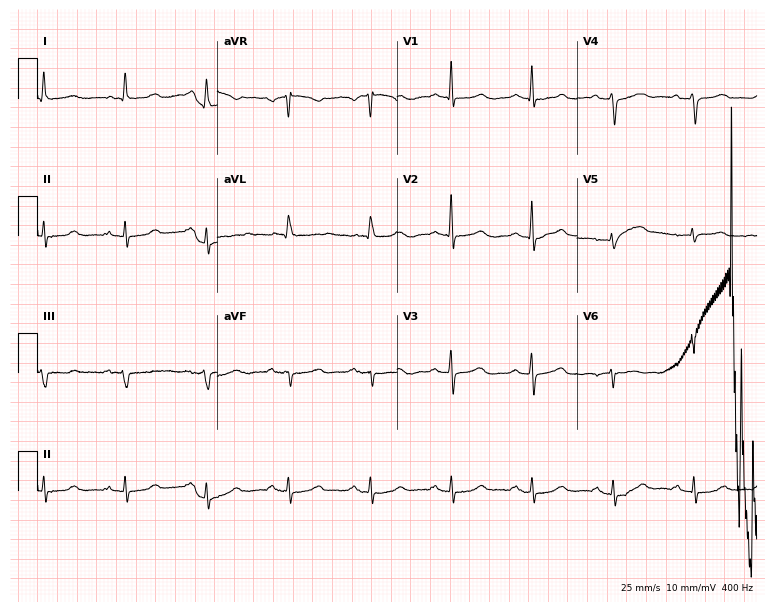
Standard 12-lead ECG recorded from a female, 81 years old. None of these six findings is recorded: first-degree AV block, right bundle branch block, left bundle branch block, sinus bradycardia, atrial fibrillation, sinus tachycardia.